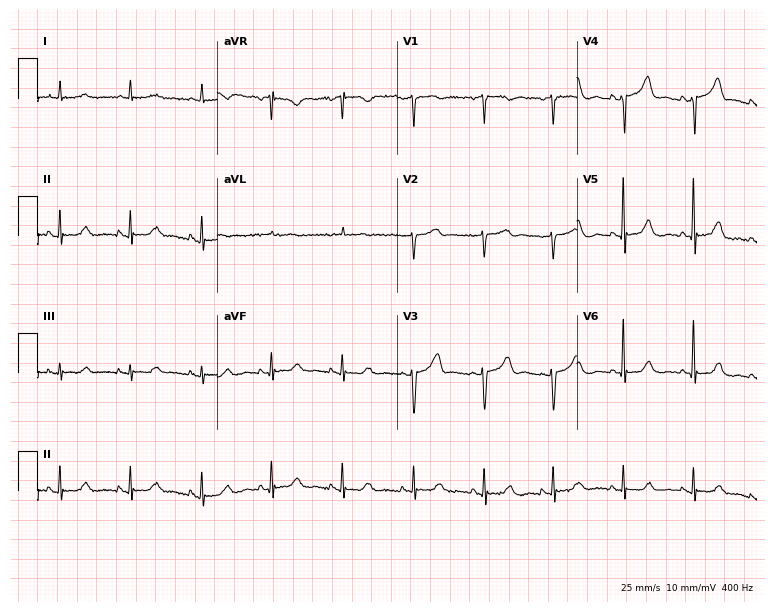
12-lead ECG from a female, 78 years old (7.3-second recording at 400 Hz). Recorded interpretation: within normal limits.